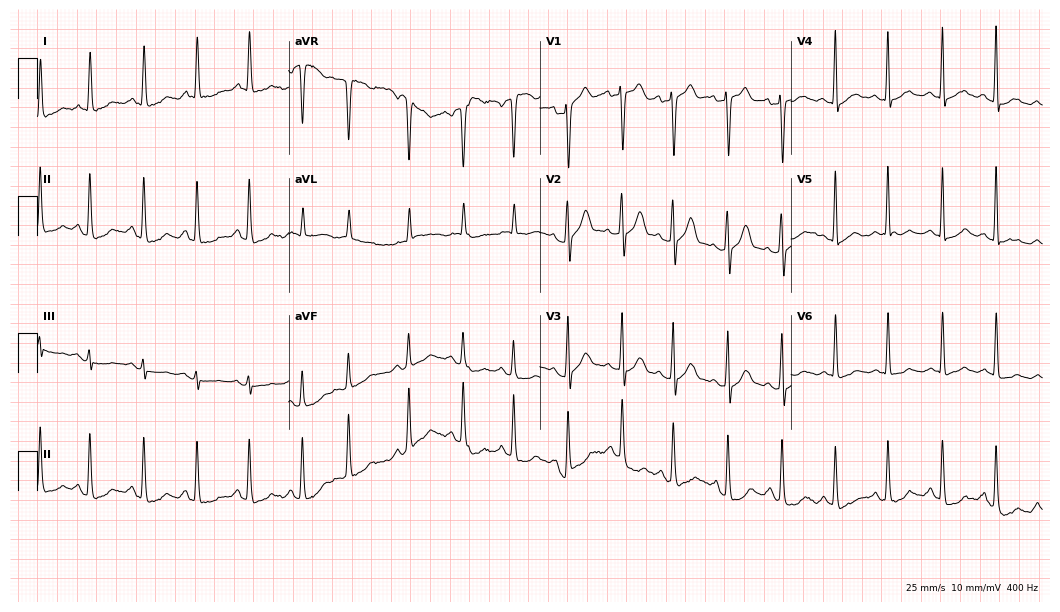
Electrocardiogram, a 78-year-old female patient. Interpretation includes sinus tachycardia (a sinus rate of 100 beats per minute or more).